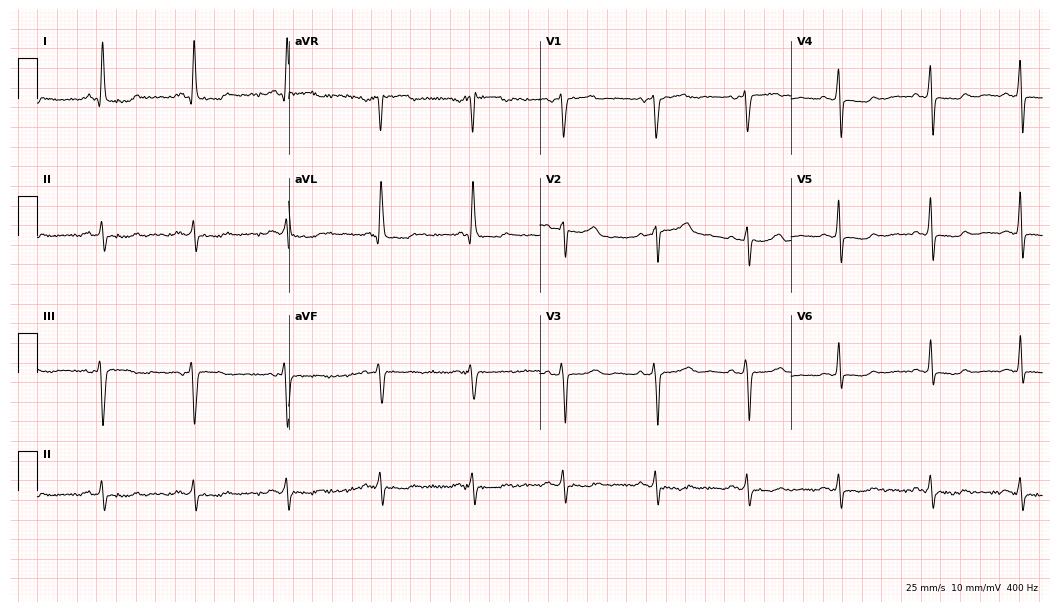
12-lead ECG (10.2-second recording at 400 Hz) from a 60-year-old woman. Screened for six findings — first-degree AV block, right bundle branch block, left bundle branch block, sinus bradycardia, atrial fibrillation, sinus tachycardia — none is recorded. Other findings, if any, are not listed.